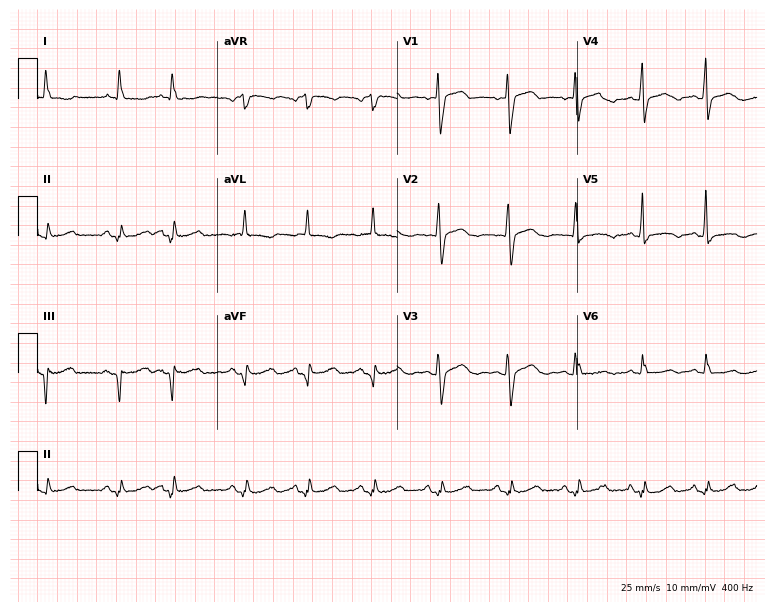
Standard 12-lead ECG recorded from a female patient, 73 years old. Read as a normal ECG.